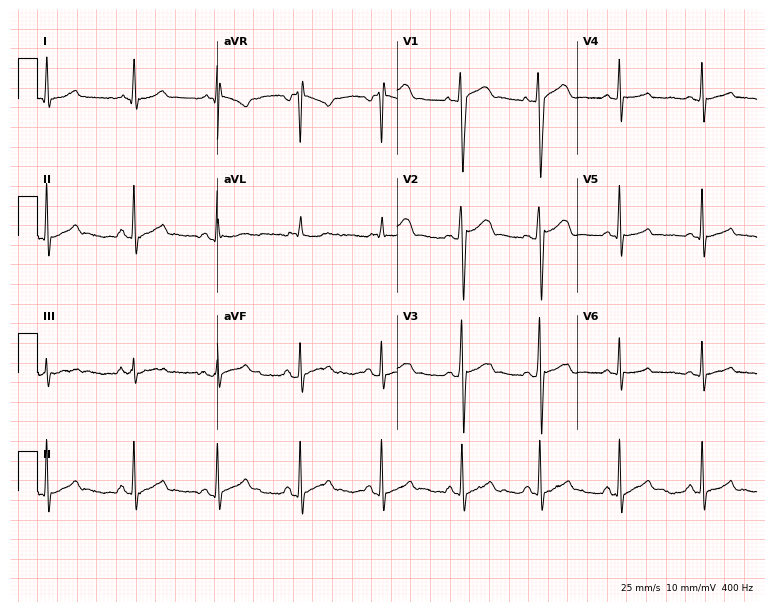
ECG — a 17-year-old male. Labelled as a normal ECG.